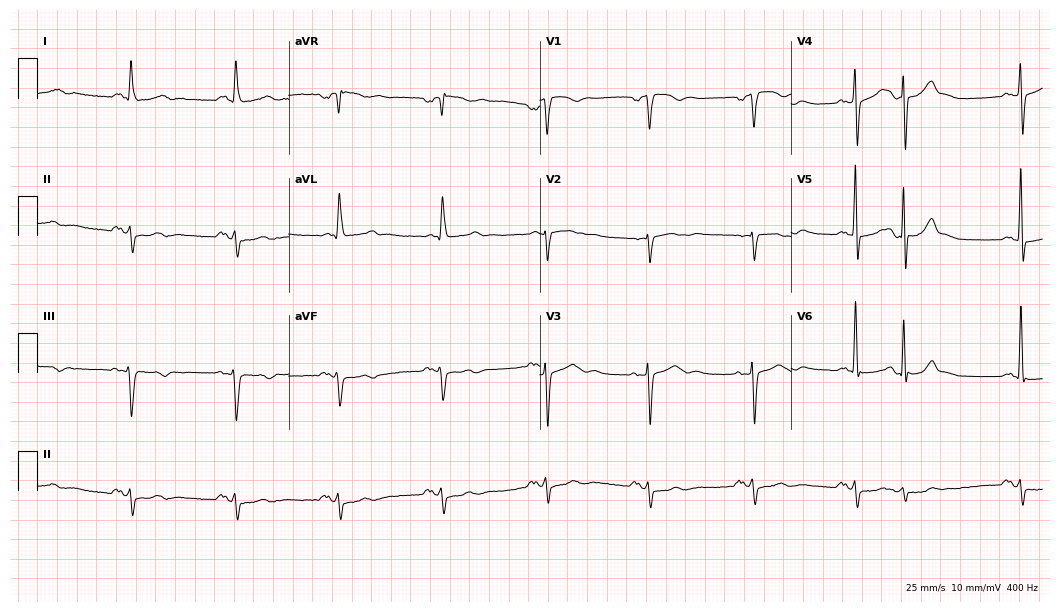
ECG (10.2-second recording at 400 Hz) — an 80-year-old man. Screened for six findings — first-degree AV block, right bundle branch block, left bundle branch block, sinus bradycardia, atrial fibrillation, sinus tachycardia — none is recorded. Other findings, if any, are not listed.